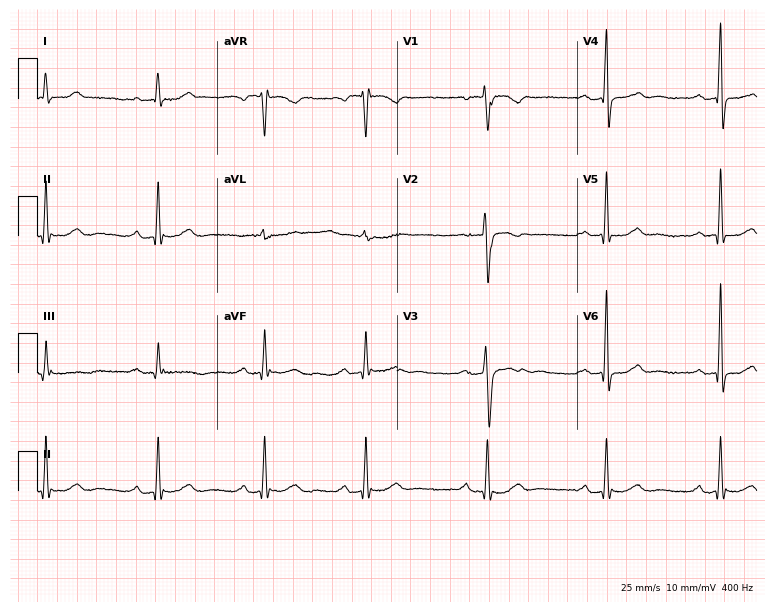
Electrocardiogram (7.3-second recording at 400 Hz), a woman, 59 years old. Interpretation includes first-degree AV block.